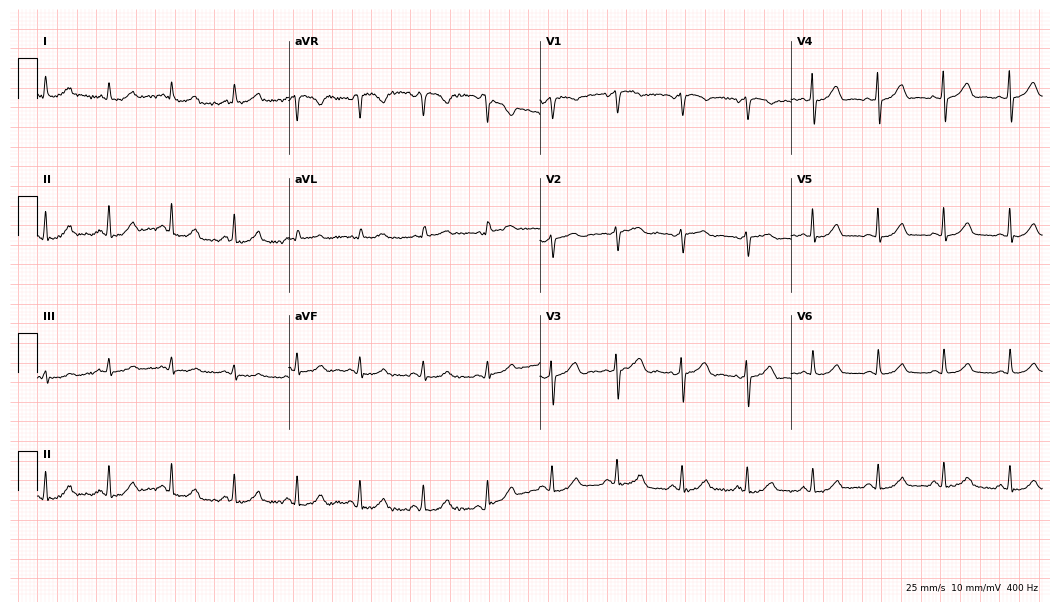
Standard 12-lead ECG recorded from a 78-year-old woman. Read as a normal ECG.